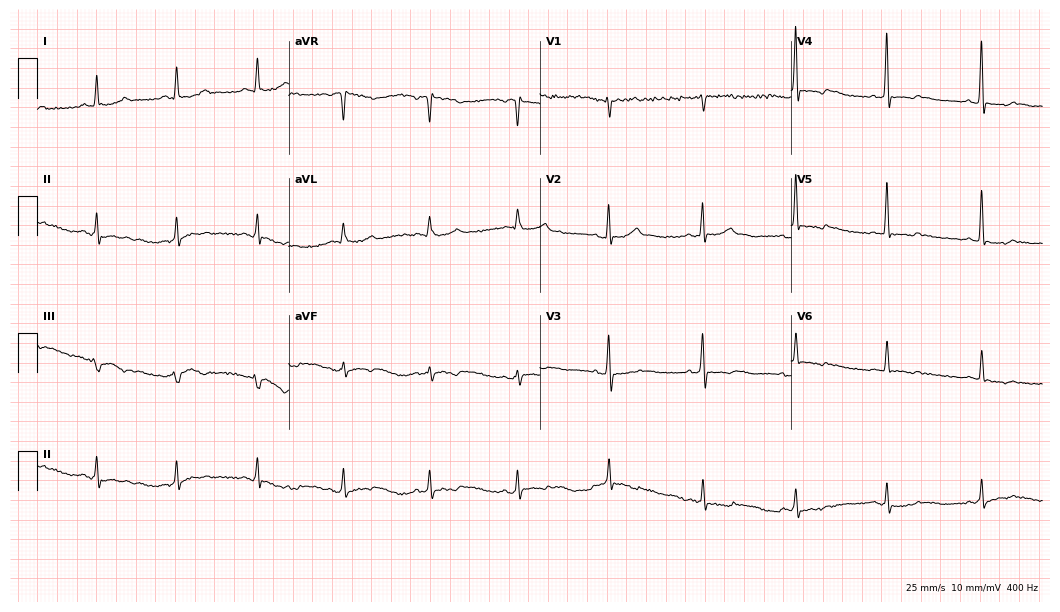
Standard 12-lead ECG recorded from a male patient, 43 years old (10.2-second recording at 400 Hz). None of these six findings is recorded: first-degree AV block, right bundle branch block, left bundle branch block, sinus bradycardia, atrial fibrillation, sinus tachycardia. Other findings, if any, are not listed.